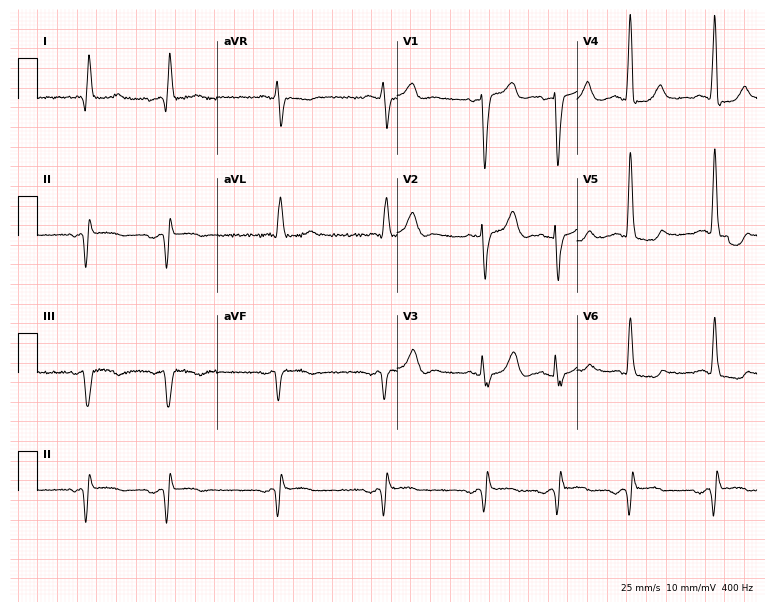
Electrocardiogram (7.3-second recording at 400 Hz), an 82-year-old male. Of the six screened findings (first-degree AV block, right bundle branch block, left bundle branch block, sinus bradycardia, atrial fibrillation, sinus tachycardia), none is recorded.